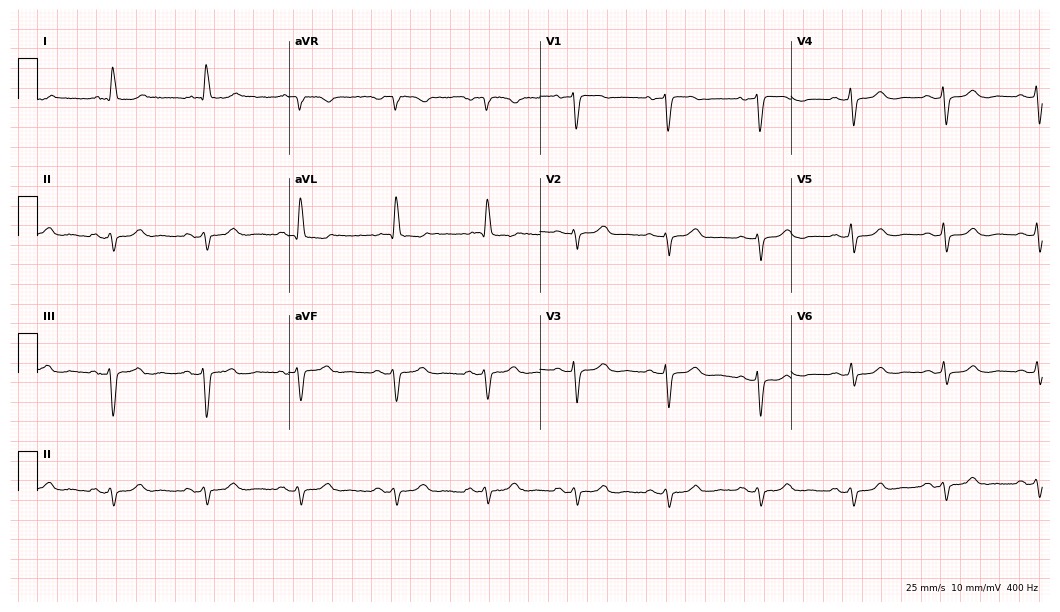
Standard 12-lead ECG recorded from a 72-year-old female (10.2-second recording at 400 Hz). None of these six findings is recorded: first-degree AV block, right bundle branch block, left bundle branch block, sinus bradycardia, atrial fibrillation, sinus tachycardia. Findings outside these six are not listed.